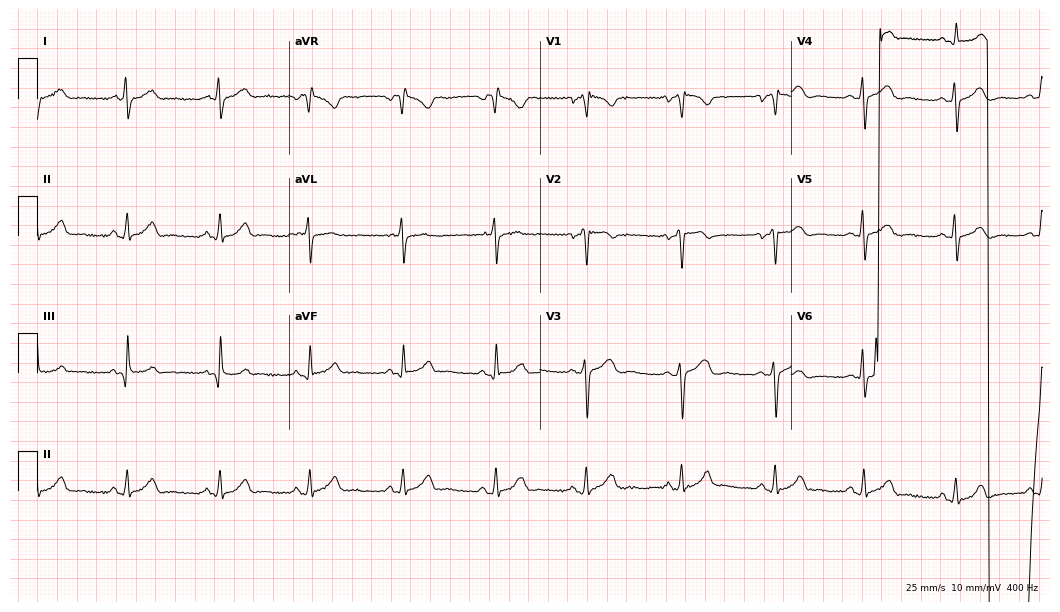
Electrocardiogram, a female, 20 years old. Of the six screened findings (first-degree AV block, right bundle branch block, left bundle branch block, sinus bradycardia, atrial fibrillation, sinus tachycardia), none is recorded. Only these six findings were labelled.